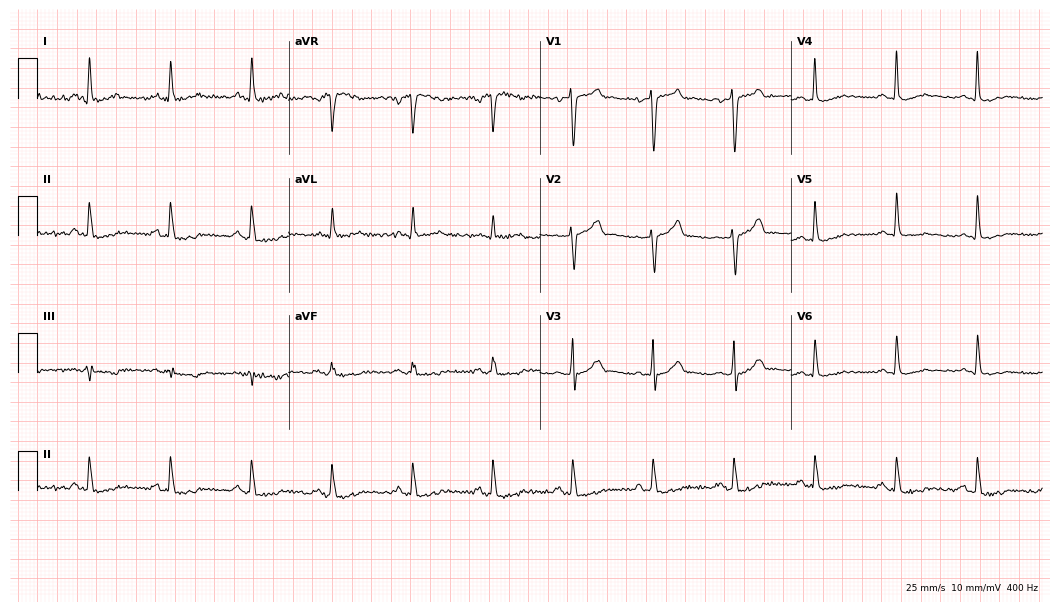
ECG — a 53-year-old man. Labelled as a normal ECG.